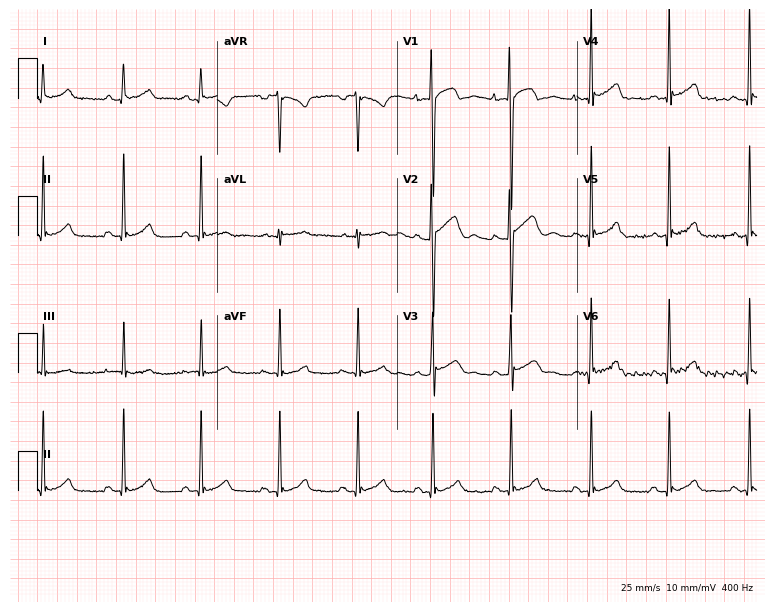
Standard 12-lead ECG recorded from a male patient, 18 years old (7.3-second recording at 400 Hz). None of these six findings is recorded: first-degree AV block, right bundle branch block, left bundle branch block, sinus bradycardia, atrial fibrillation, sinus tachycardia.